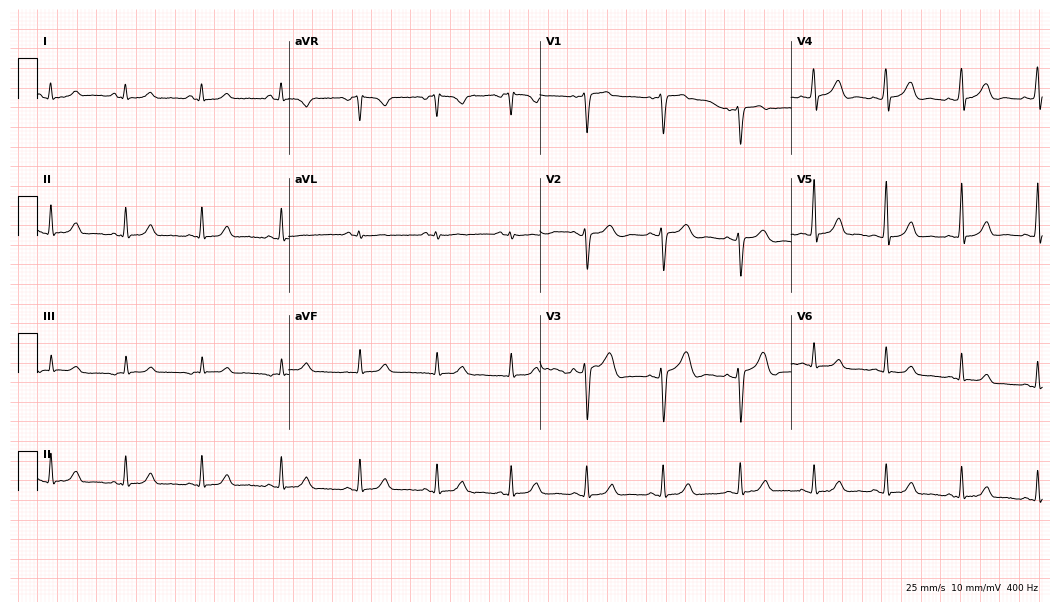
12-lead ECG from a 28-year-old female. No first-degree AV block, right bundle branch block, left bundle branch block, sinus bradycardia, atrial fibrillation or sinus tachycardia recorded for this tracing. Only these six findings were labelled.